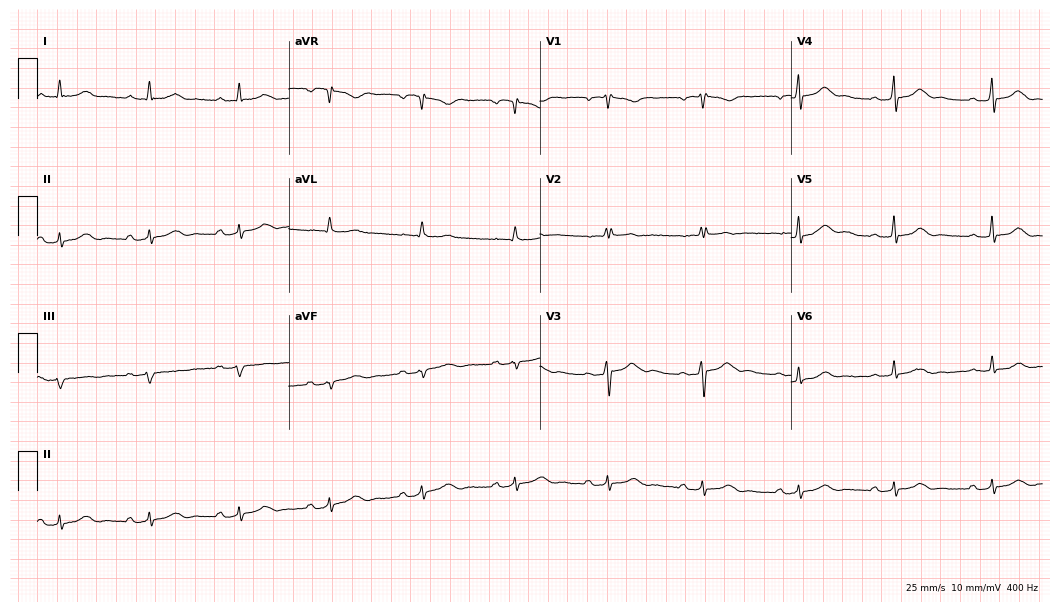
Electrocardiogram (10.2-second recording at 400 Hz), a female patient, 44 years old. Overall reading on record: normal ECG.